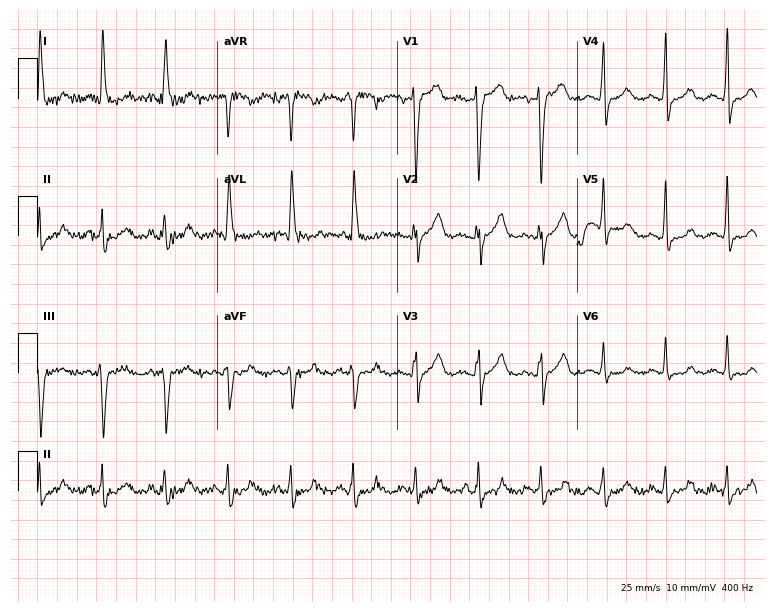
Resting 12-lead electrocardiogram (7.3-second recording at 400 Hz). Patient: a 66-year-old female. None of these six findings is recorded: first-degree AV block, right bundle branch block (RBBB), left bundle branch block (LBBB), sinus bradycardia, atrial fibrillation (AF), sinus tachycardia. Only these six findings were labelled.